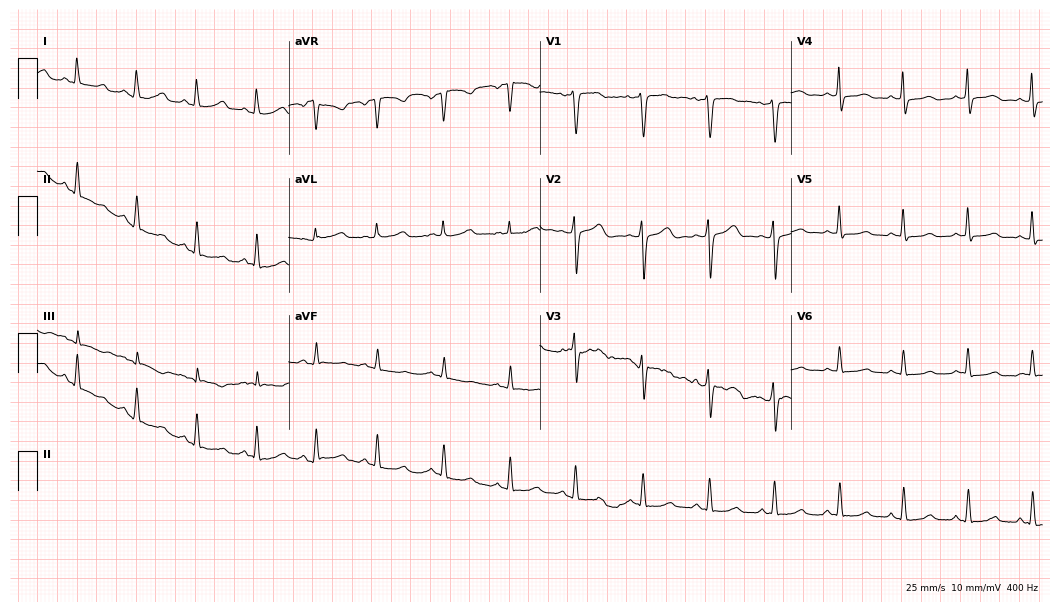
12-lead ECG (10.2-second recording at 400 Hz) from a female, 38 years old. Screened for six findings — first-degree AV block, right bundle branch block (RBBB), left bundle branch block (LBBB), sinus bradycardia, atrial fibrillation (AF), sinus tachycardia — none is recorded. Only these six findings were labelled.